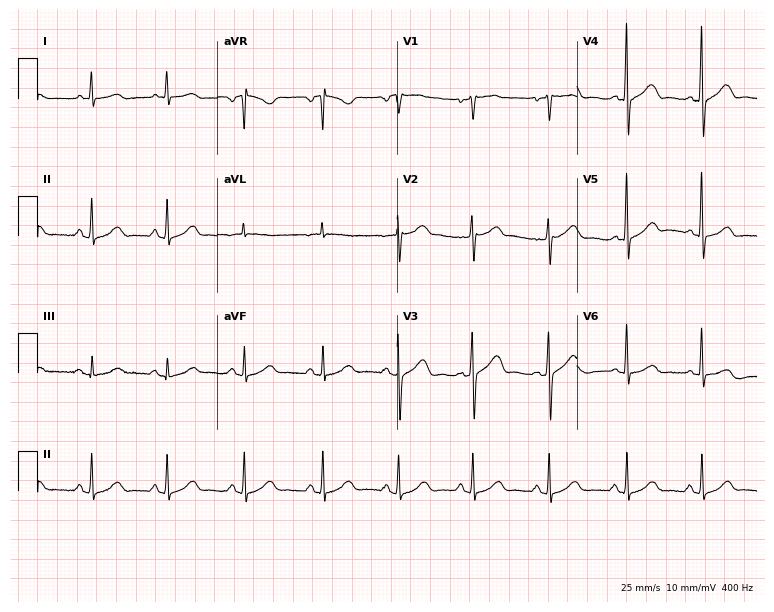
12-lead ECG from a female patient, 76 years old. Screened for six findings — first-degree AV block, right bundle branch block, left bundle branch block, sinus bradycardia, atrial fibrillation, sinus tachycardia — none is recorded. Other findings, if any, are not listed.